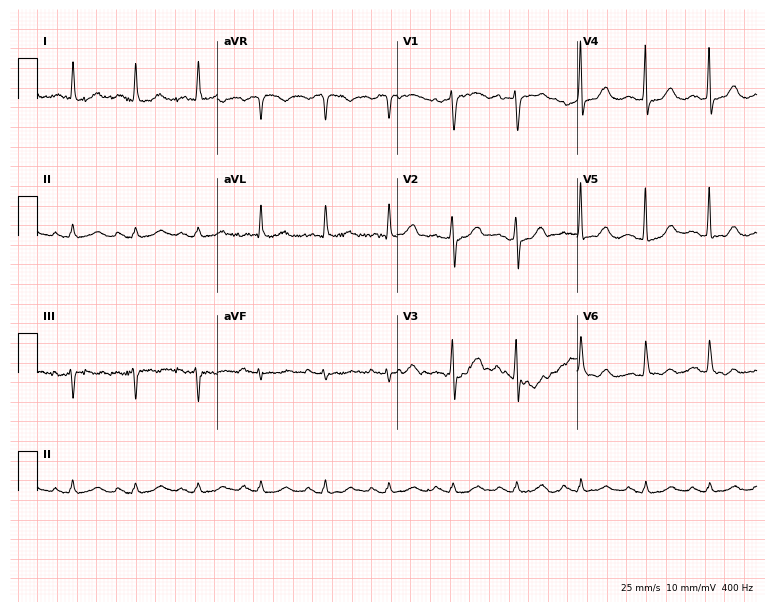
Electrocardiogram (7.3-second recording at 400 Hz), a male, 80 years old. Overall reading on record: normal ECG.